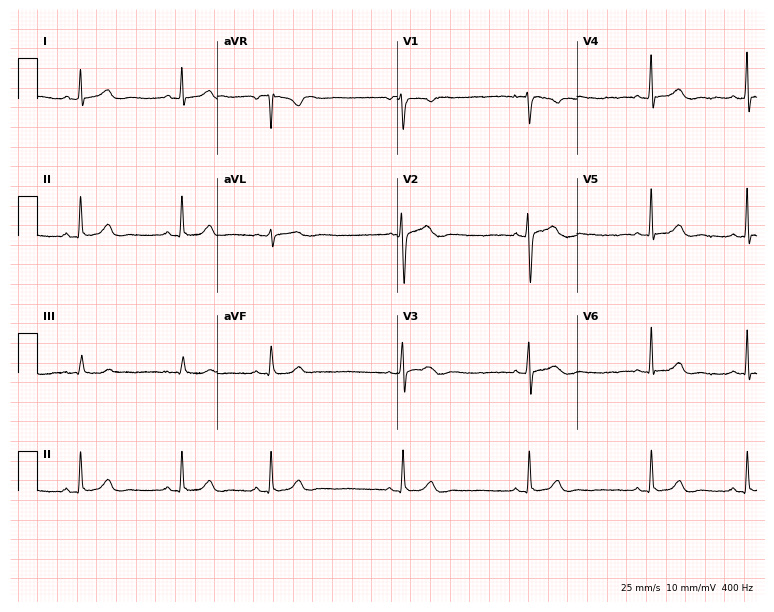
Standard 12-lead ECG recorded from a 40-year-old female. Read as a normal ECG.